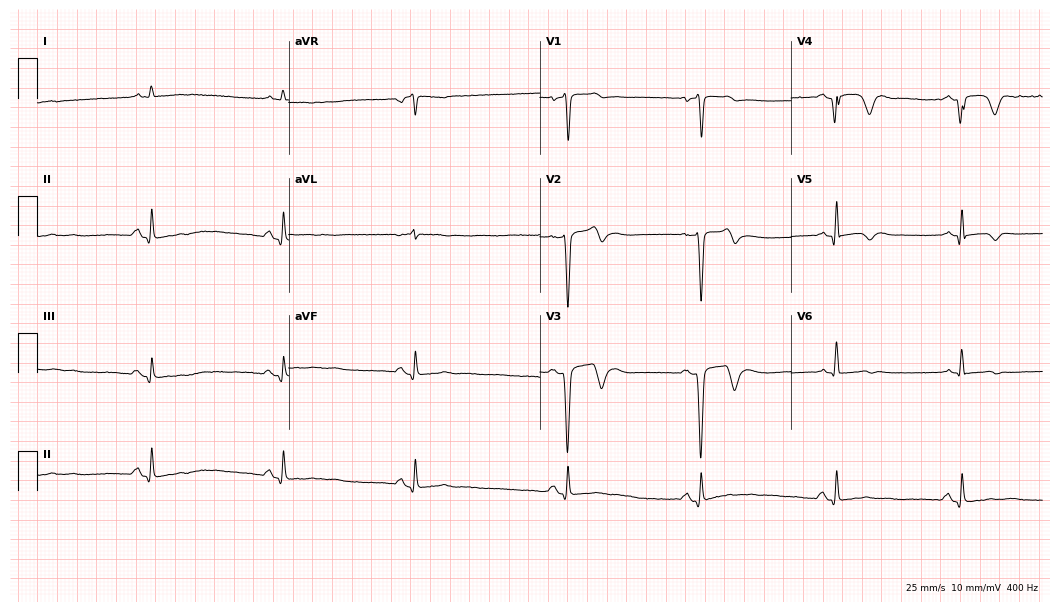
ECG — a male, 64 years old. Screened for six findings — first-degree AV block, right bundle branch block (RBBB), left bundle branch block (LBBB), sinus bradycardia, atrial fibrillation (AF), sinus tachycardia — none is recorded.